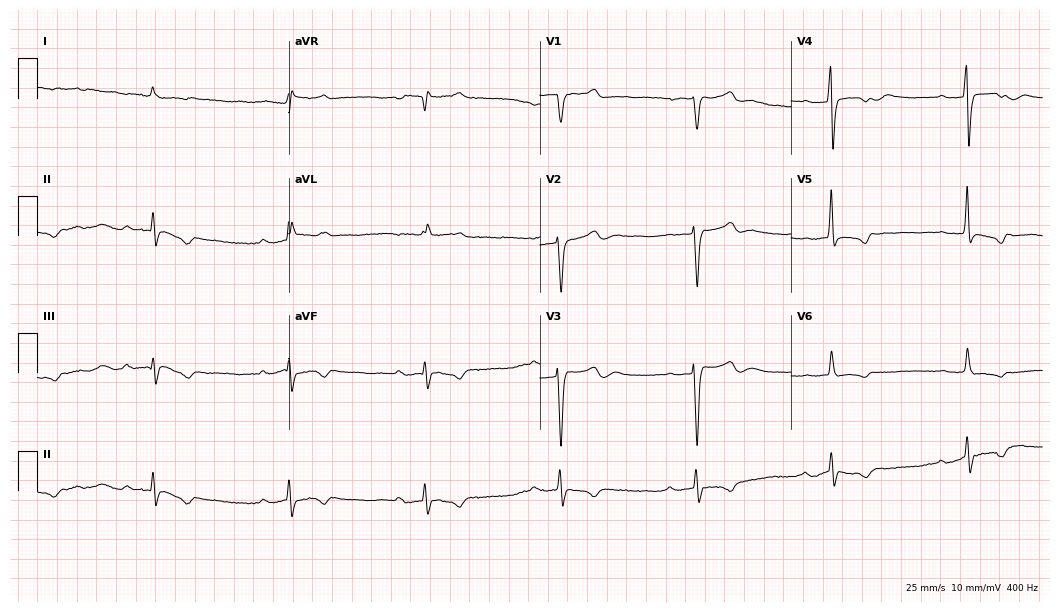
Electrocardiogram (10.2-second recording at 400 Hz), an 80-year-old woman. Interpretation includes first-degree AV block, sinus bradycardia (a sinus rate of 50 beats per minute or less).